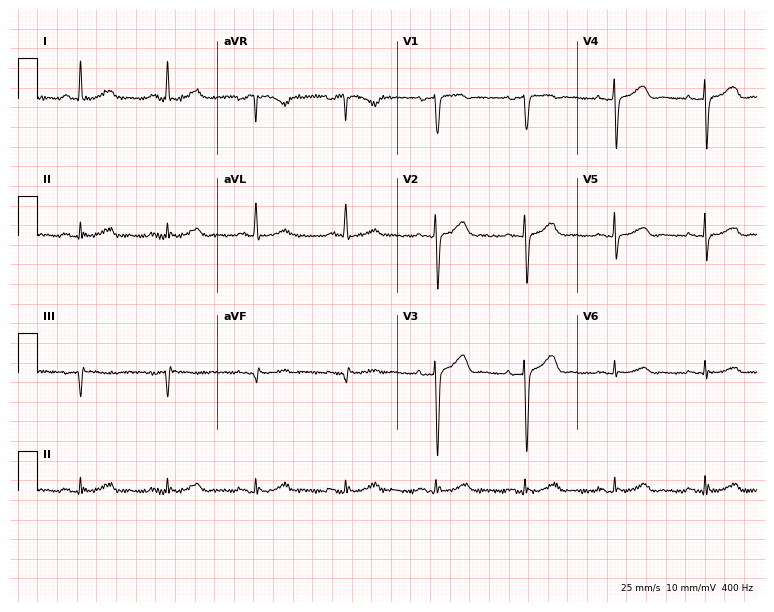
12-lead ECG from a 53-year-old female (7.3-second recording at 400 Hz). Recorded interpretation: within normal limits.